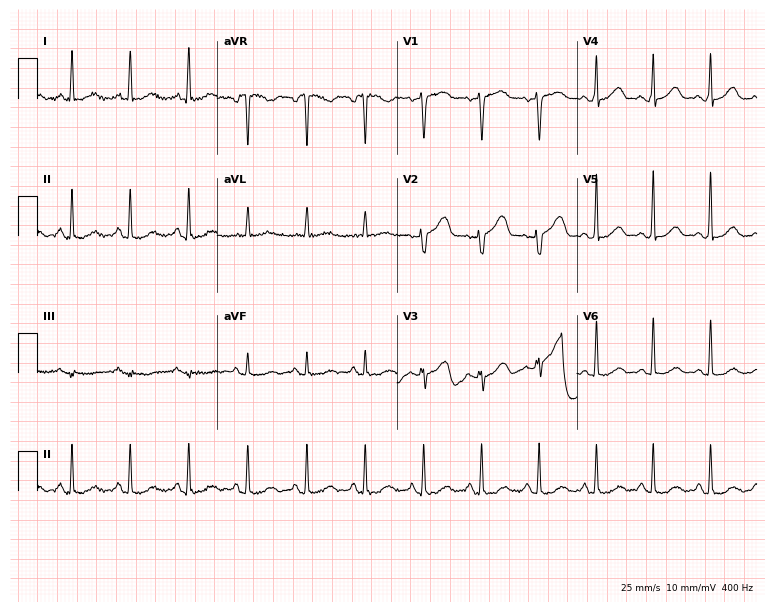
Electrocardiogram, a female, 62 years old. Overall reading on record: normal ECG.